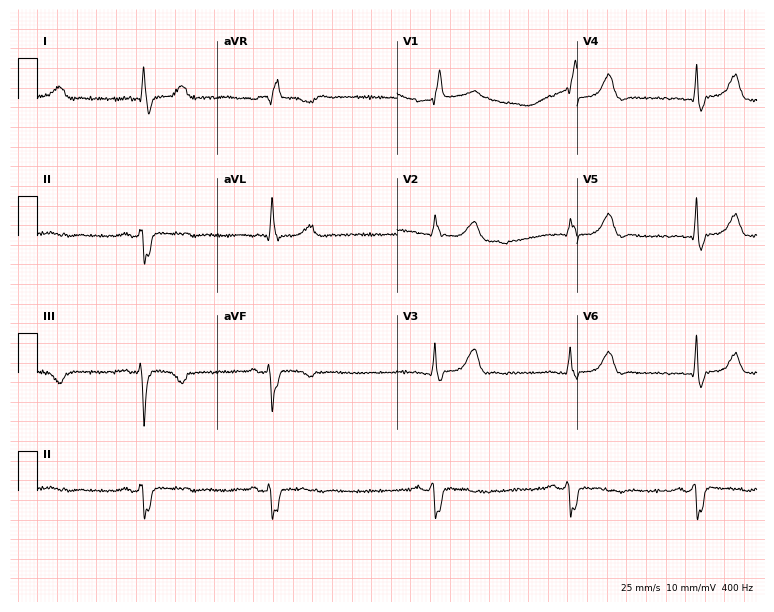
ECG (7.3-second recording at 400 Hz) — a 55-year-old female patient. Findings include right bundle branch block (RBBB), sinus bradycardia (a sinus rate of 50 beats per minute or less).